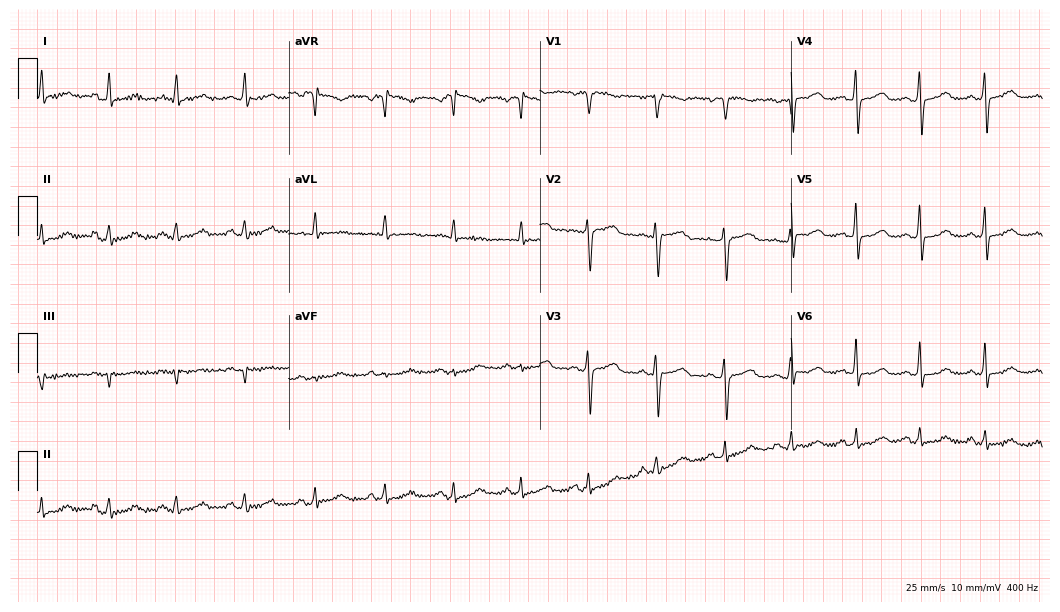
ECG (10.2-second recording at 400 Hz) — a woman, 46 years old. Labelled as a normal ECG.